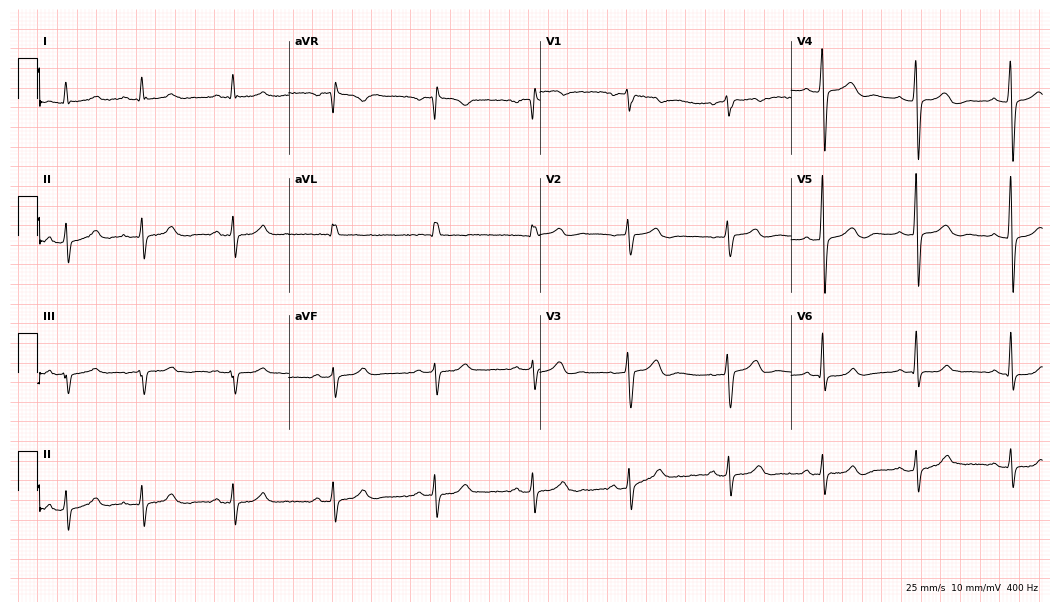
Standard 12-lead ECG recorded from a 64-year-old female patient (10.2-second recording at 400 Hz). None of these six findings is recorded: first-degree AV block, right bundle branch block (RBBB), left bundle branch block (LBBB), sinus bradycardia, atrial fibrillation (AF), sinus tachycardia.